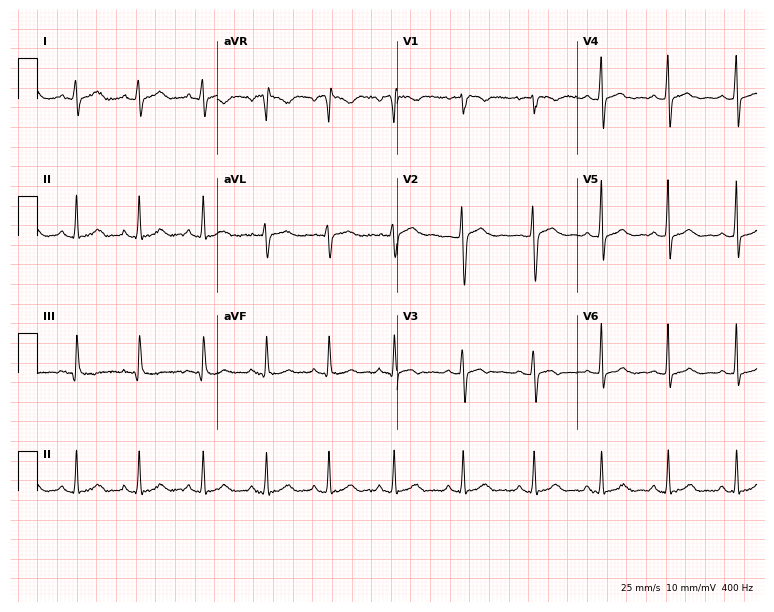
Electrocardiogram (7.3-second recording at 400 Hz), a female patient, 27 years old. Of the six screened findings (first-degree AV block, right bundle branch block (RBBB), left bundle branch block (LBBB), sinus bradycardia, atrial fibrillation (AF), sinus tachycardia), none is recorded.